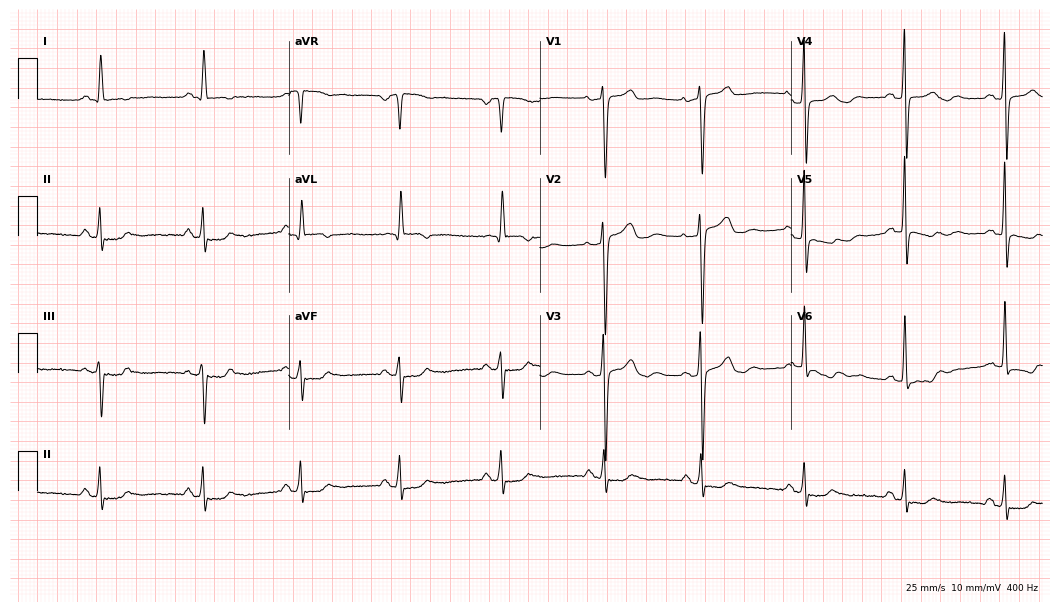
12-lead ECG from a 73-year-old female patient (10.2-second recording at 400 Hz). No first-degree AV block, right bundle branch block (RBBB), left bundle branch block (LBBB), sinus bradycardia, atrial fibrillation (AF) or sinus tachycardia recorded for this tracing. Only these six findings were labelled.